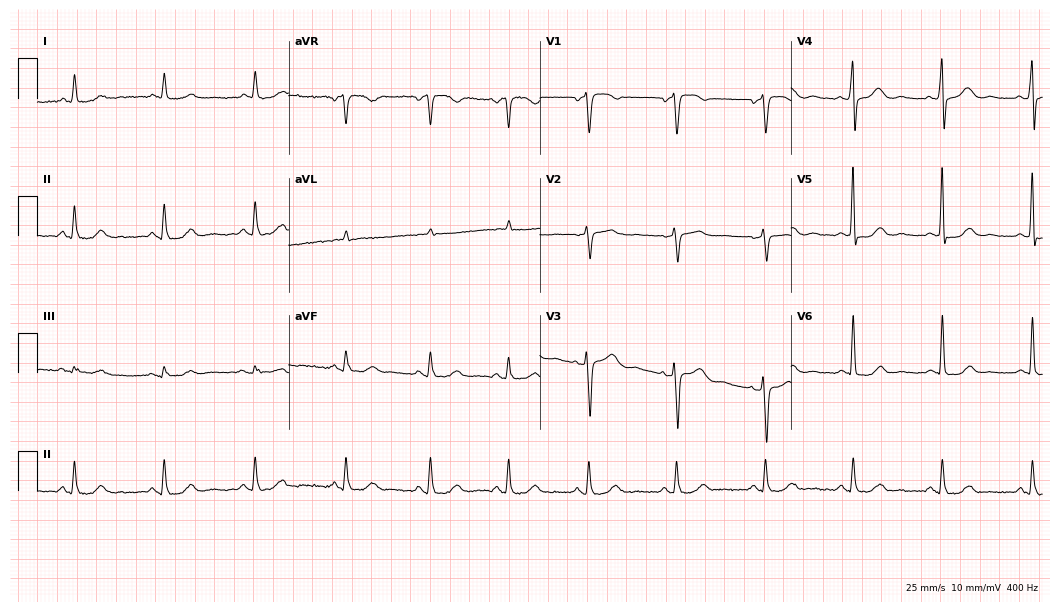
Standard 12-lead ECG recorded from a female, 57 years old. Read as a normal ECG.